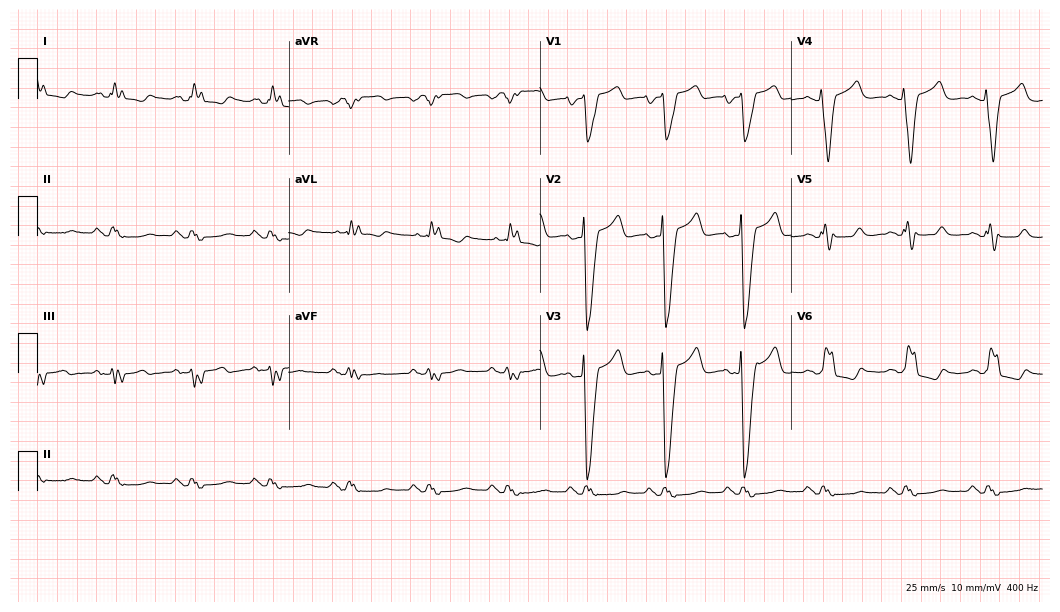
Standard 12-lead ECG recorded from an 85-year-old female patient (10.2-second recording at 400 Hz). The tracing shows left bundle branch block.